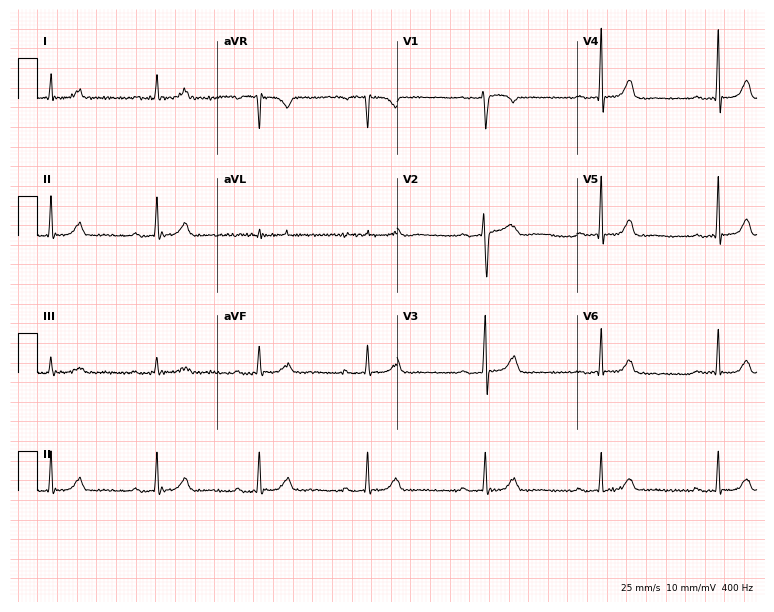
Electrocardiogram (7.3-second recording at 400 Hz), a female patient, 42 years old. Overall reading on record: normal ECG.